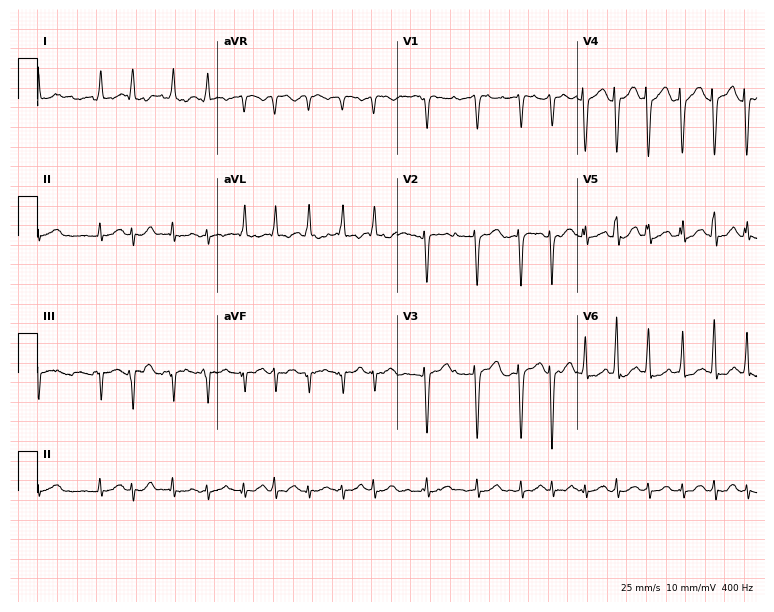
ECG (7.3-second recording at 400 Hz) — a female patient, 43 years old. Findings include atrial fibrillation.